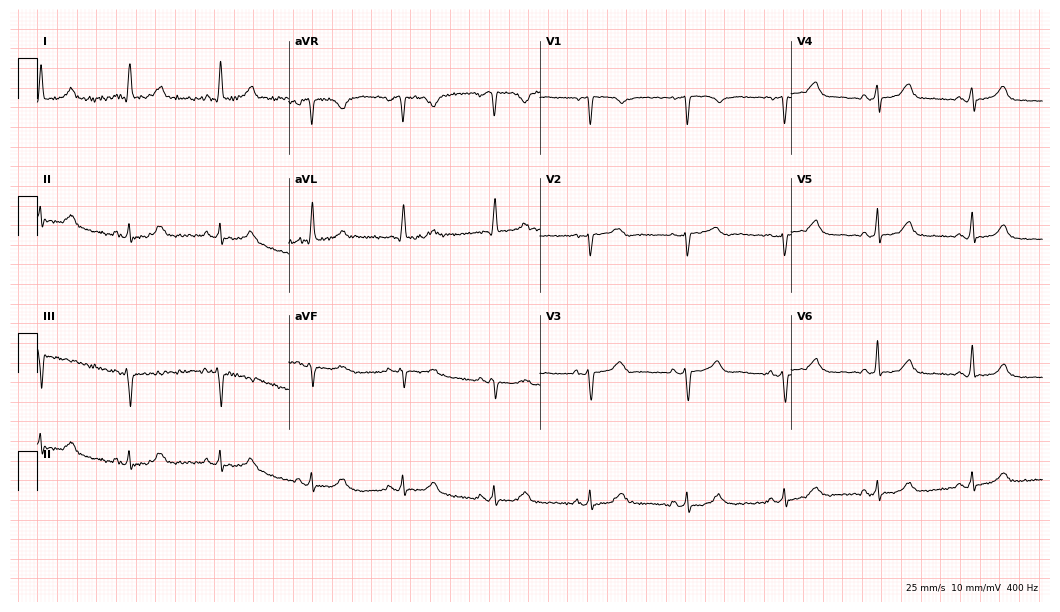
Electrocardiogram (10.2-second recording at 400 Hz), a 59-year-old female. Of the six screened findings (first-degree AV block, right bundle branch block, left bundle branch block, sinus bradycardia, atrial fibrillation, sinus tachycardia), none is recorded. Other findings, if any, are not listed.